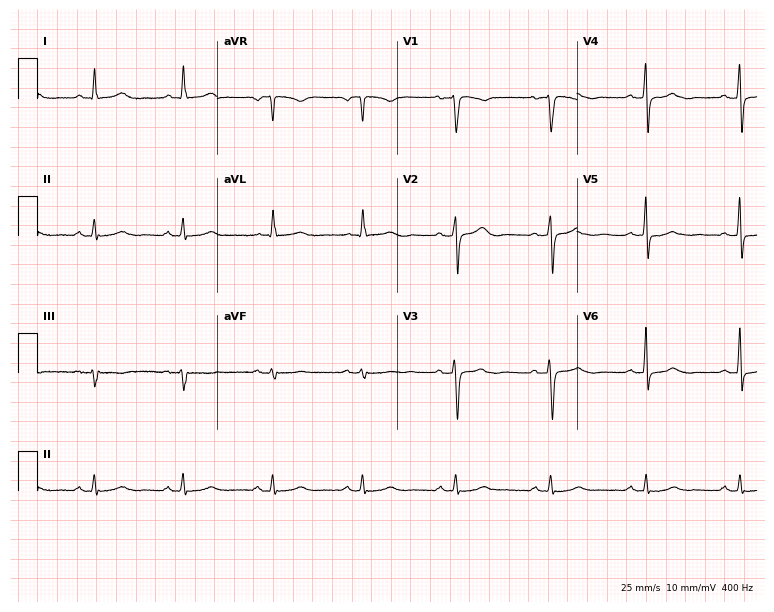
Electrocardiogram, a female, 46 years old. Of the six screened findings (first-degree AV block, right bundle branch block, left bundle branch block, sinus bradycardia, atrial fibrillation, sinus tachycardia), none is recorded. Other findings, if any, are not listed.